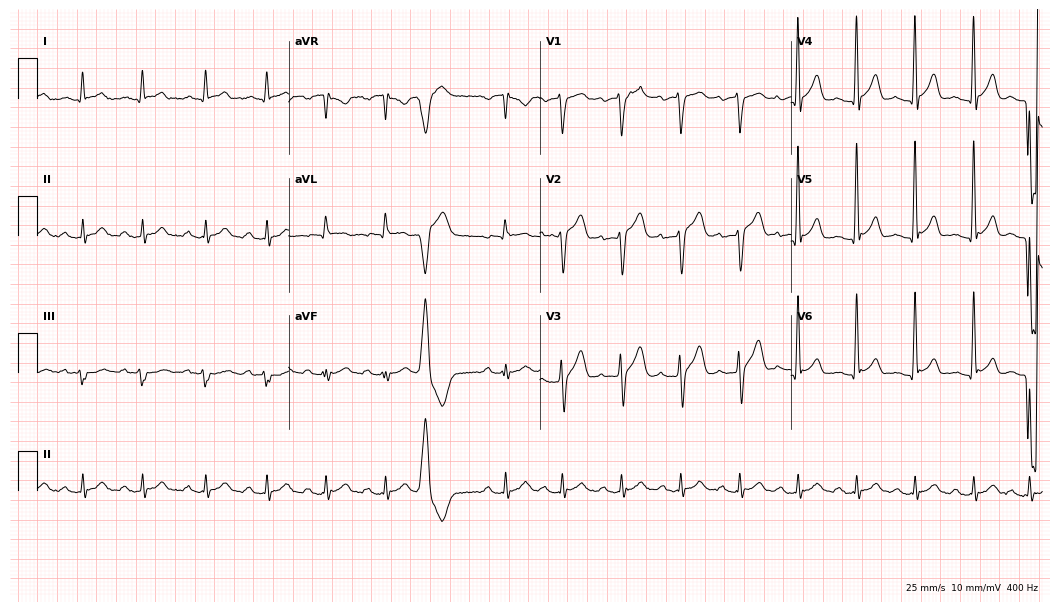
Electrocardiogram, a 55-year-old man. Overall reading on record: normal ECG.